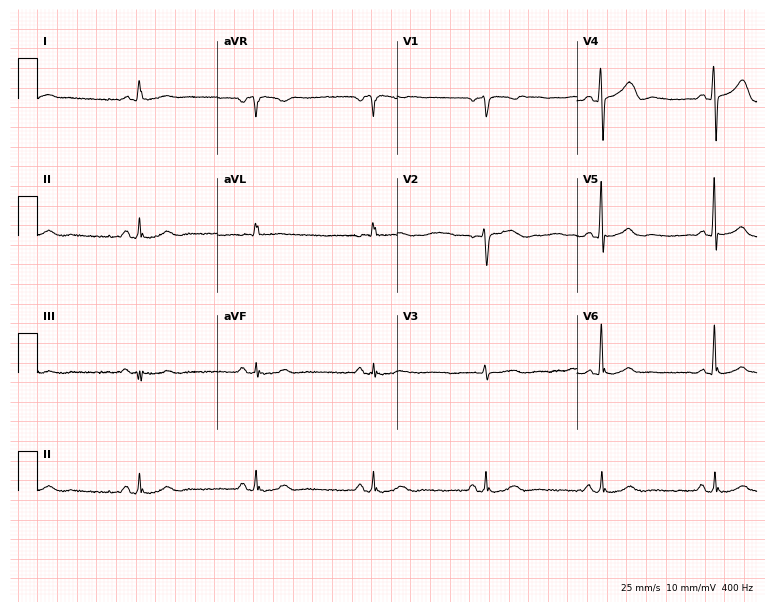
ECG (7.3-second recording at 400 Hz) — a 61-year-old woman. Screened for six findings — first-degree AV block, right bundle branch block, left bundle branch block, sinus bradycardia, atrial fibrillation, sinus tachycardia — none is recorded. Only these six findings were labelled.